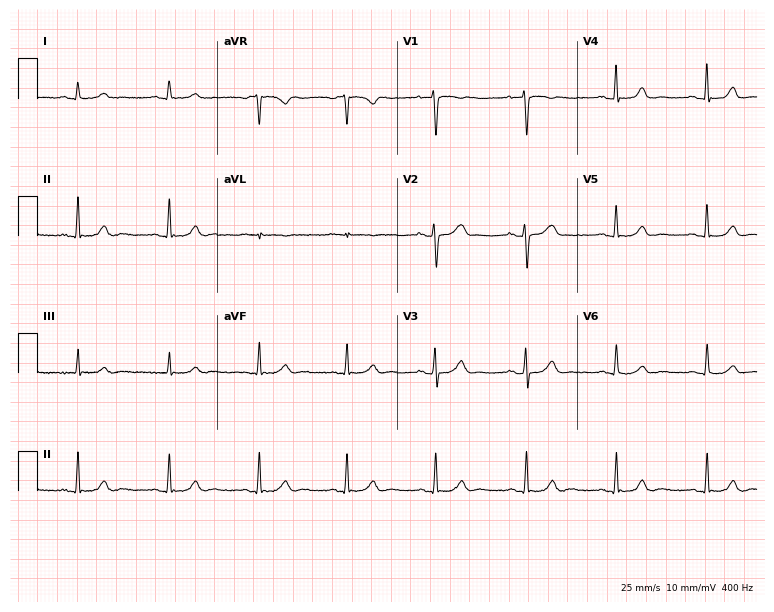
12-lead ECG from a woman, 31 years old. Labelled as a normal ECG.